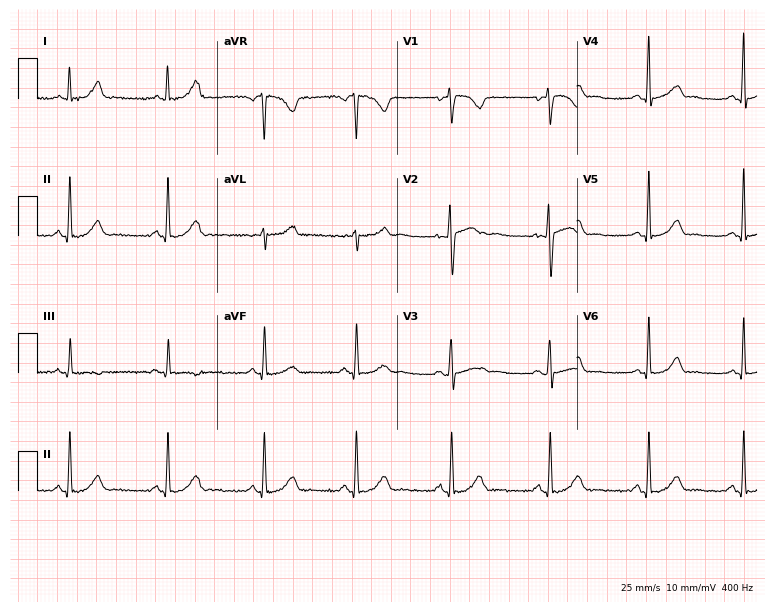
Standard 12-lead ECG recorded from a 35-year-old female (7.3-second recording at 400 Hz). None of these six findings is recorded: first-degree AV block, right bundle branch block (RBBB), left bundle branch block (LBBB), sinus bradycardia, atrial fibrillation (AF), sinus tachycardia. Findings outside these six are not listed.